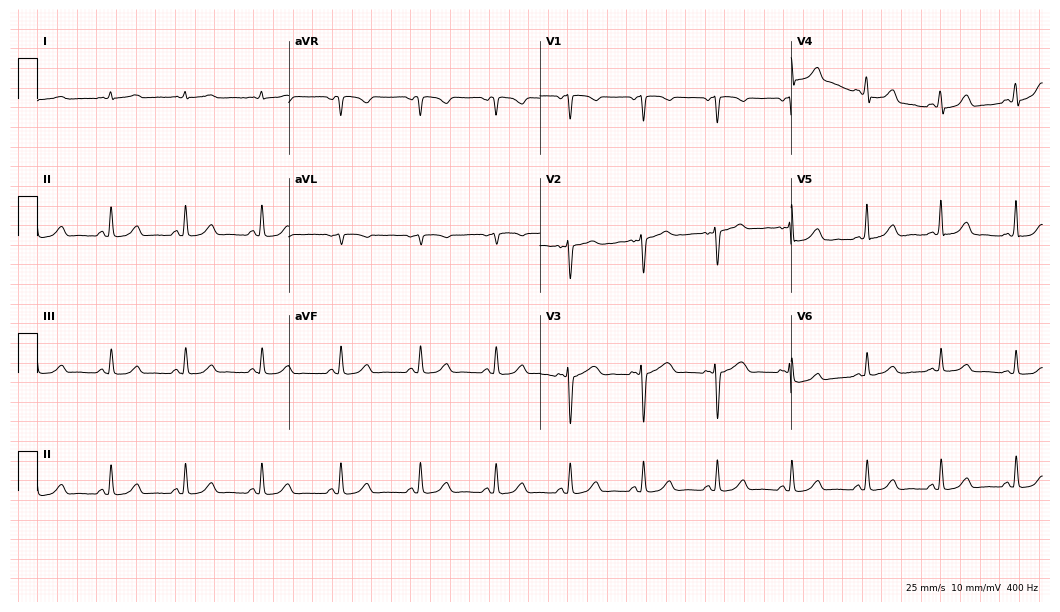
Standard 12-lead ECG recorded from a female, 53 years old (10.2-second recording at 400 Hz). Read as a normal ECG.